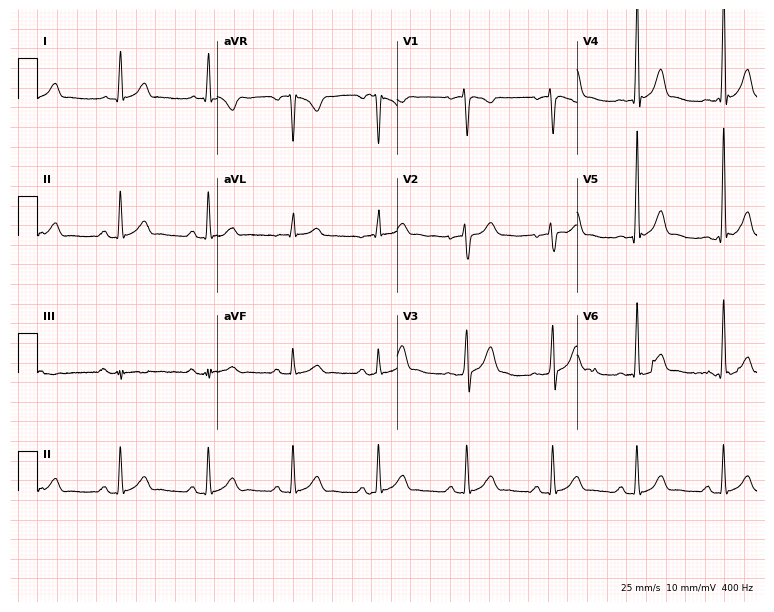
Standard 12-lead ECG recorded from a male patient, 30 years old (7.3-second recording at 400 Hz). Read as a normal ECG.